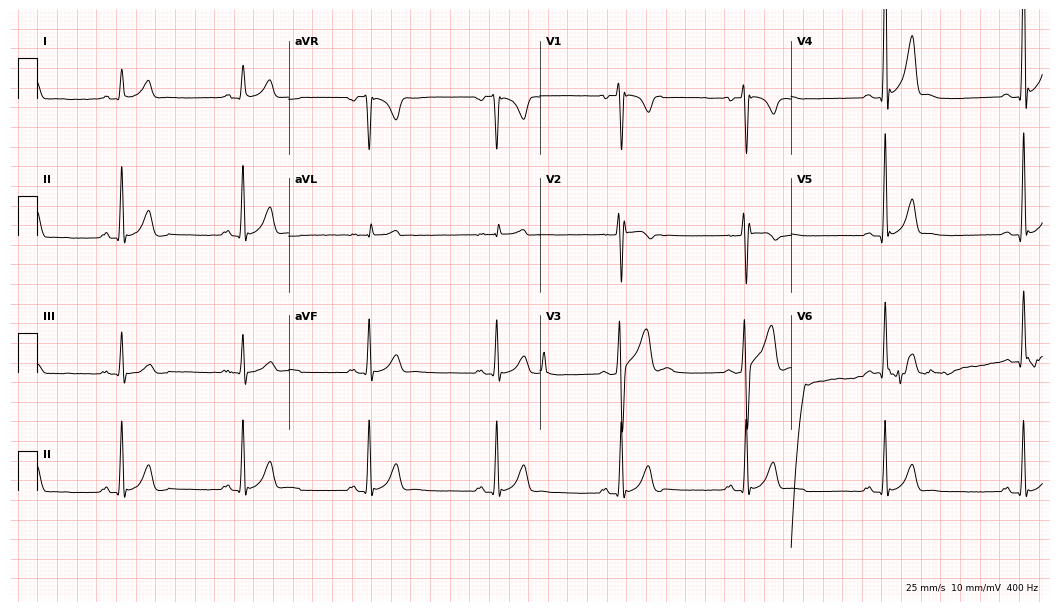
12-lead ECG (10.2-second recording at 400 Hz) from a 17-year-old male patient. Findings include atrial fibrillation.